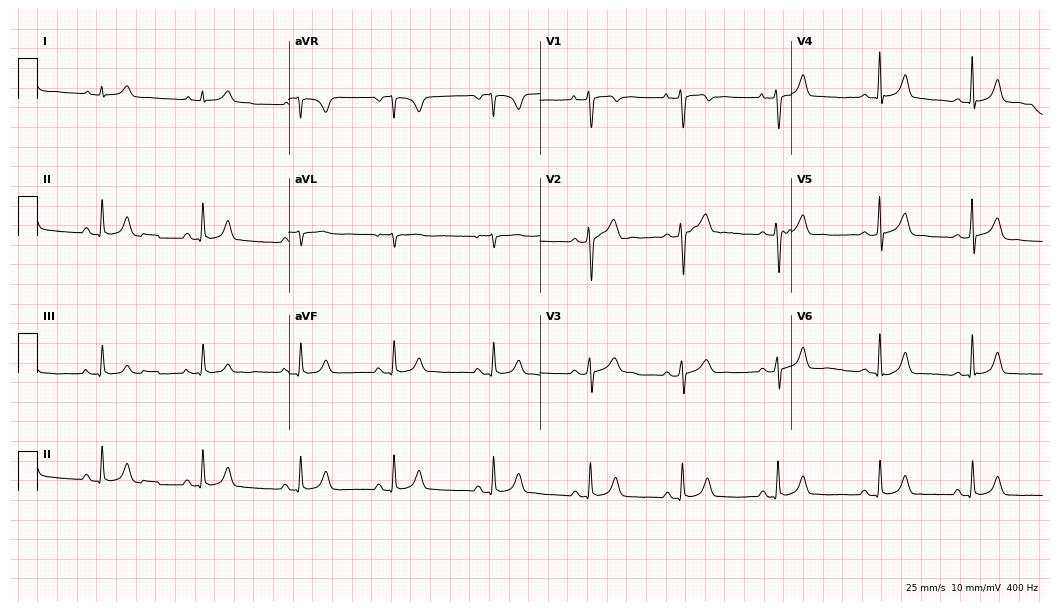
Standard 12-lead ECG recorded from a 22-year-old male patient (10.2-second recording at 400 Hz). Read as a normal ECG.